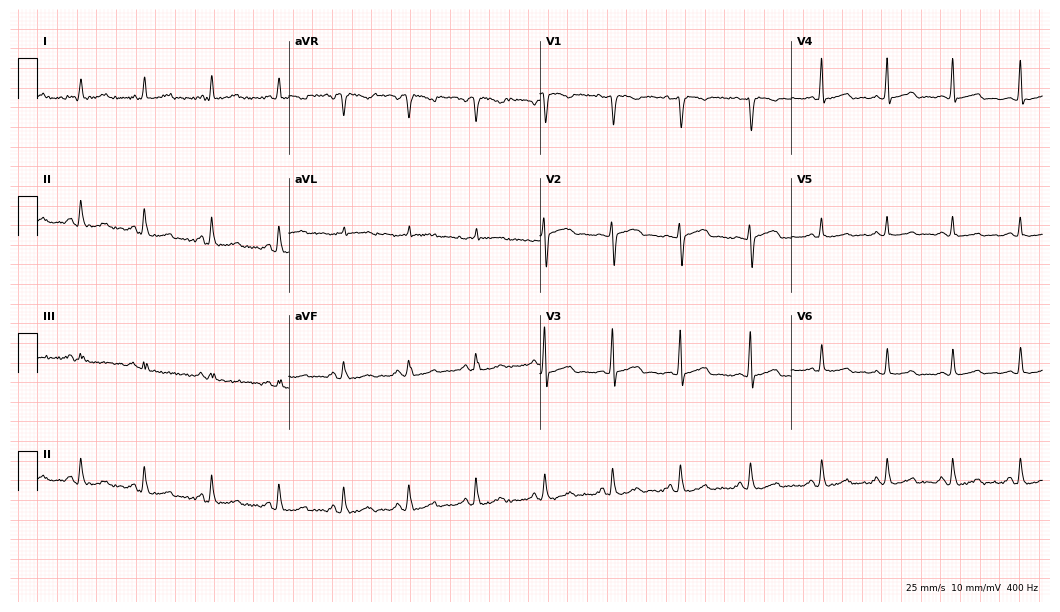
ECG — a 43-year-old female patient. Screened for six findings — first-degree AV block, right bundle branch block, left bundle branch block, sinus bradycardia, atrial fibrillation, sinus tachycardia — none is recorded.